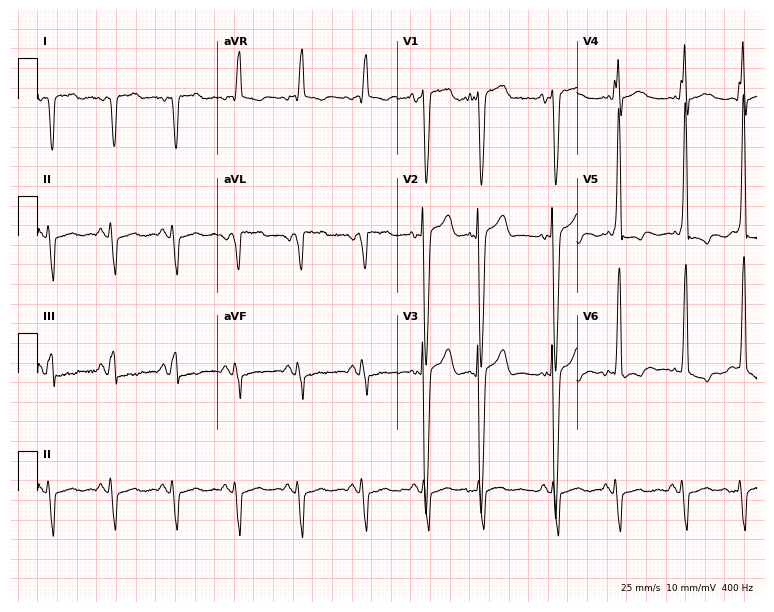
Resting 12-lead electrocardiogram (7.3-second recording at 400 Hz). Patient: a male, 77 years old. None of these six findings is recorded: first-degree AV block, right bundle branch block, left bundle branch block, sinus bradycardia, atrial fibrillation, sinus tachycardia.